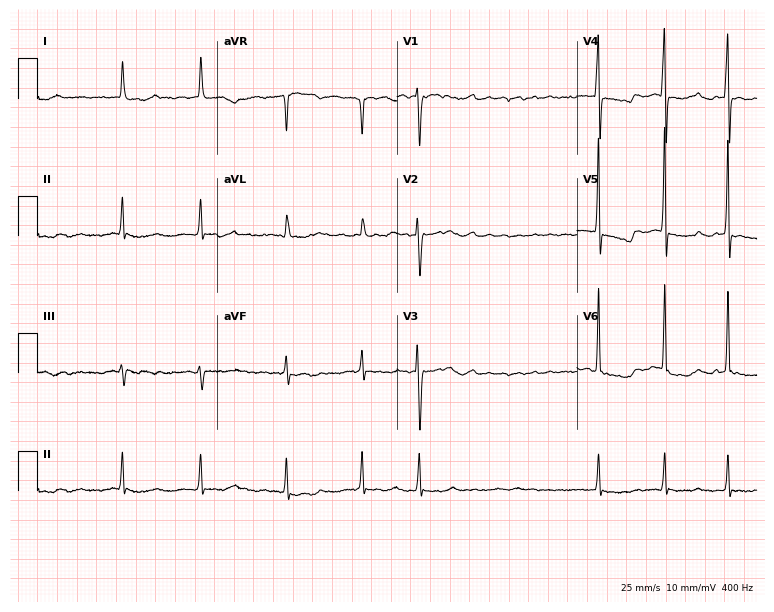
Standard 12-lead ECG recorded from a 69-year-old female (7.3-second recording at 400 Hz). None of these six findings is recorded: first-degree AV block, right bundle branch block, left bundle branch block, sinus bradycardia, atrial fibrillation, sinus tachycardia.